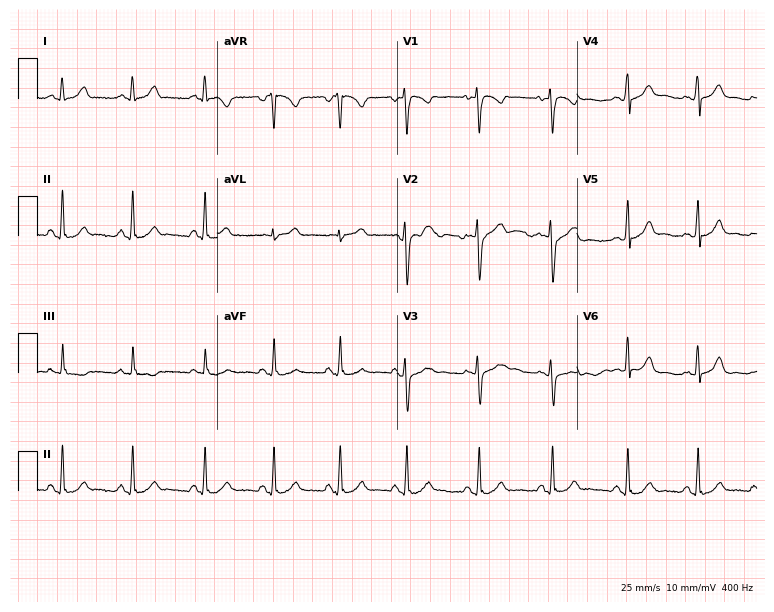
Electrocardiogram, a 40-year-old female. Overall reading on record: normal ECG.